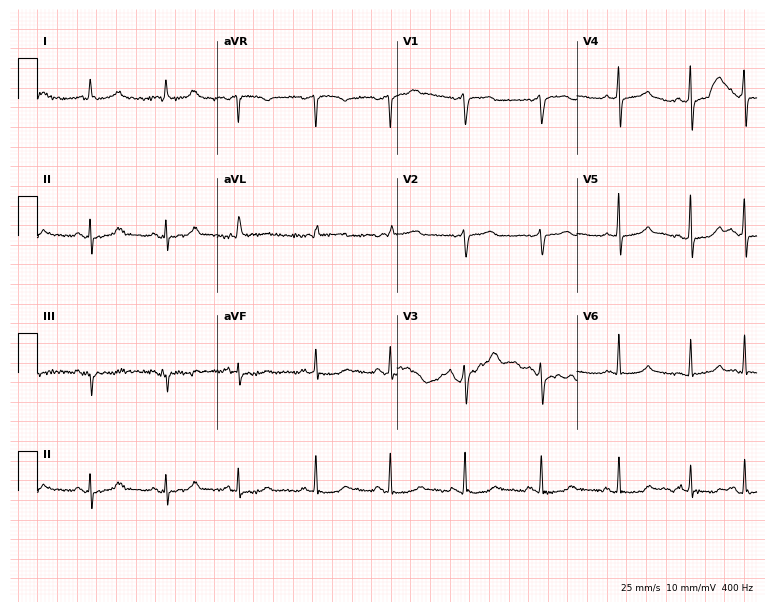
Resting 12-lead electrocardiogram. Patient: a woman, 67 years old. None of these six findings is recorded: first-degree AV block, right bundle branch block, left bundle branch block, sinus bradycardia, atrial fibrillation, sinus tachycardia. Only these six findings were labelled.